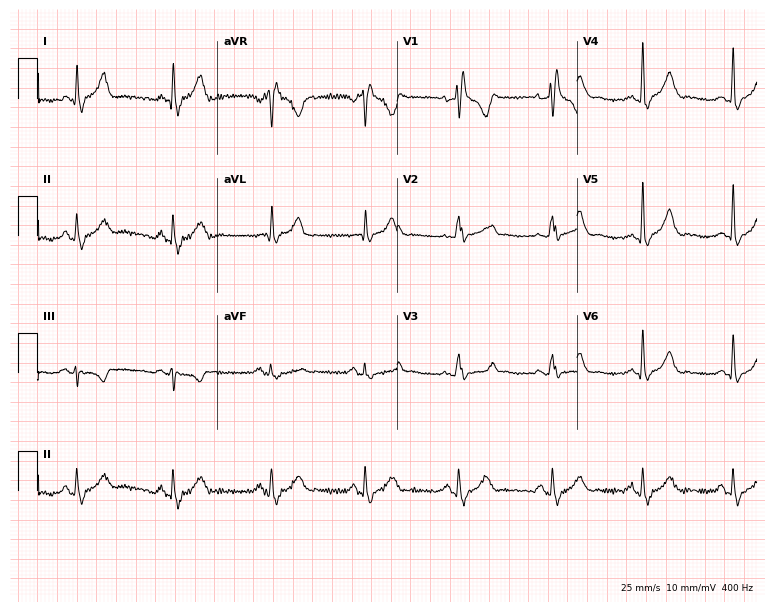
12-lead ECG from a female patient, 41 years old (7.3-second recording at 400 Hz). Shows right bundle branch block (RBBB).